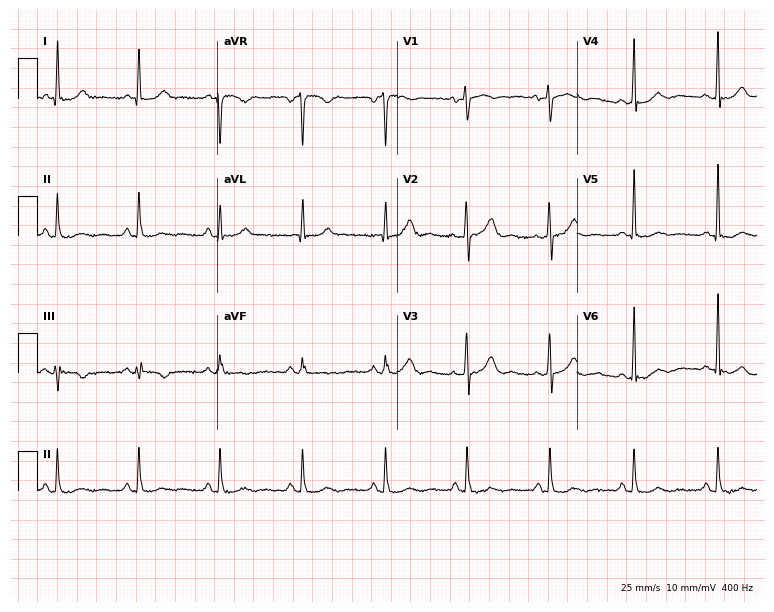
12-lead ECG from a woman, 61 years old (7.3-second recording at 400 Hz). No first-degree AV block, right bundle branch block, left bundle branch block, sinus bradycardia, atrial fibrillation or sinus tachycardia recorded for this tracing. Only these six findings were labelled.